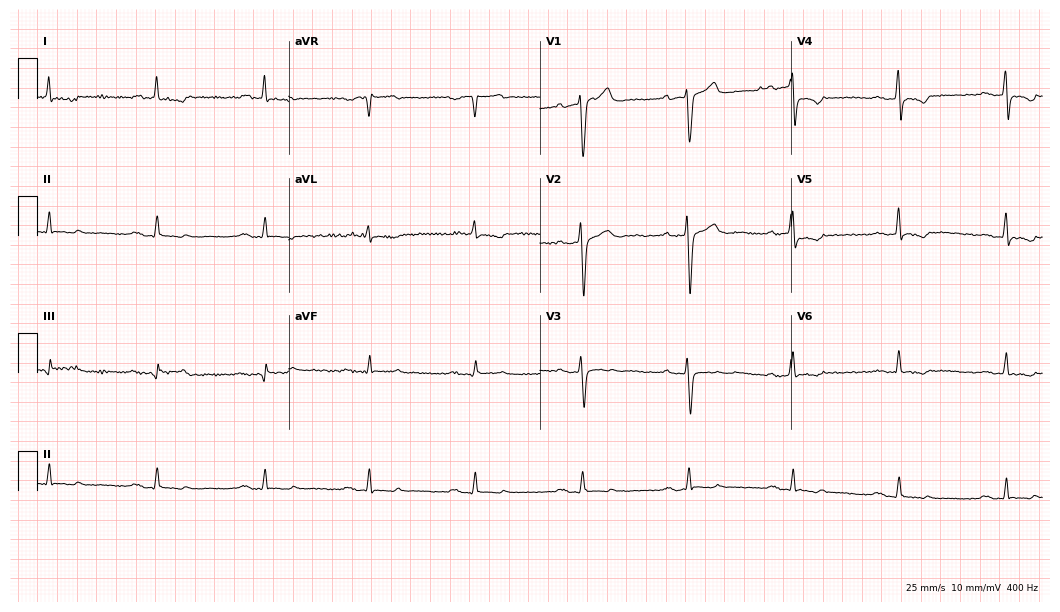
ECG — a male patient, 55 years old. Screened for six findings — first-degree AV block, right bundle branch block (RBBB), left bundle branch block (LBBB), sinus bradycardia, atrial fibrillation (AF), sinus tachycardia — none is recorded. Only these six findings were labelled.